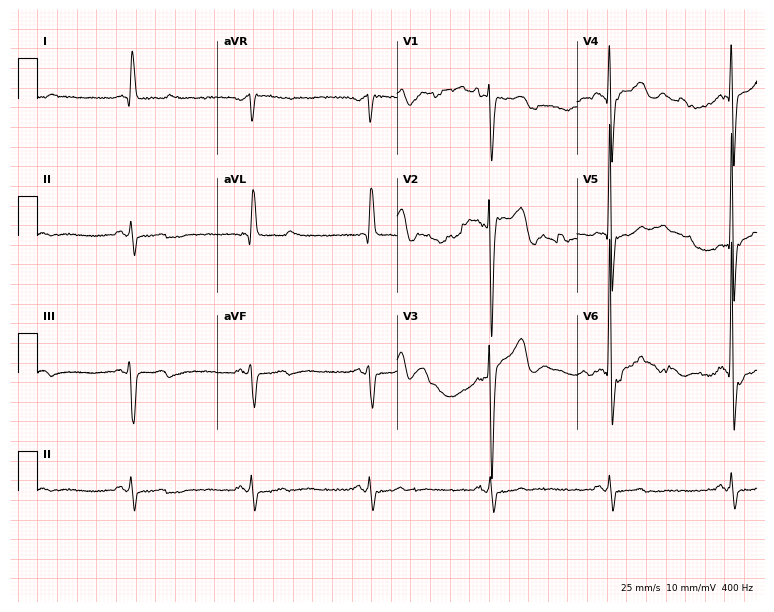
12-lead ECG from a 65-year-old male (7.3-second recording at 400 Hz). Shows sinus bradycardia (a sinus rate of 50 beats per minute or less).